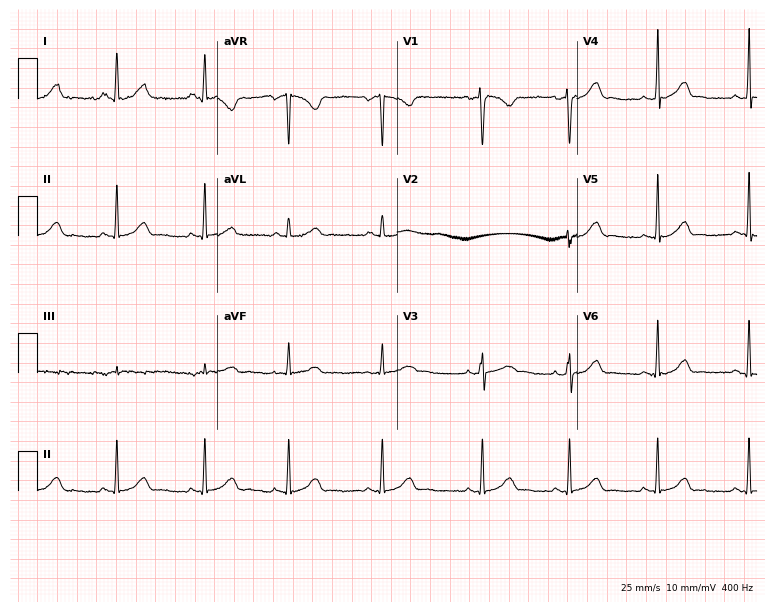
Resting 12-lead electrocardiogram. Patient: a woman, 29 years old. Read as a normal ECG.